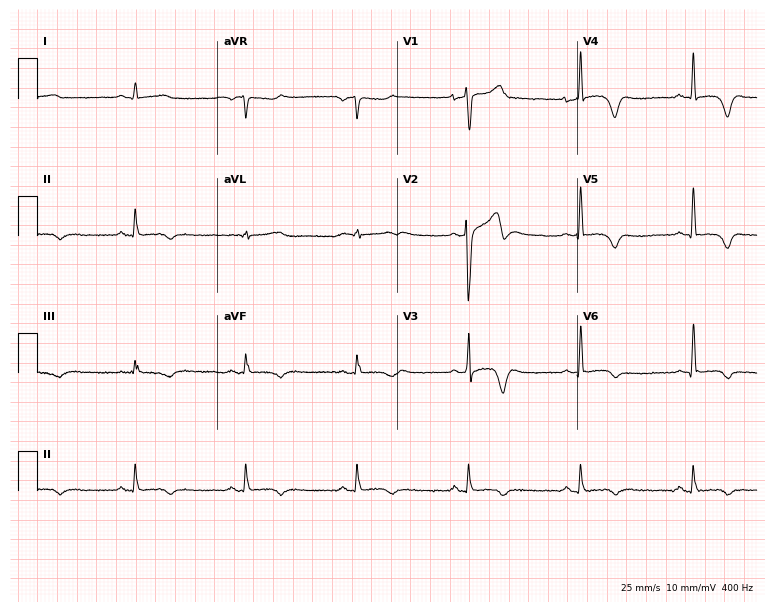
ECG (7.3-second recording at 400 Hz) — a 47-year-old male. Screened for six findings — first-degree AV block, right bundle branch block, left bundle branch block, sinus bradycardia, atrial fibrillation, sinus tachycardia — none is recorded. Findings outside these six are not listed.